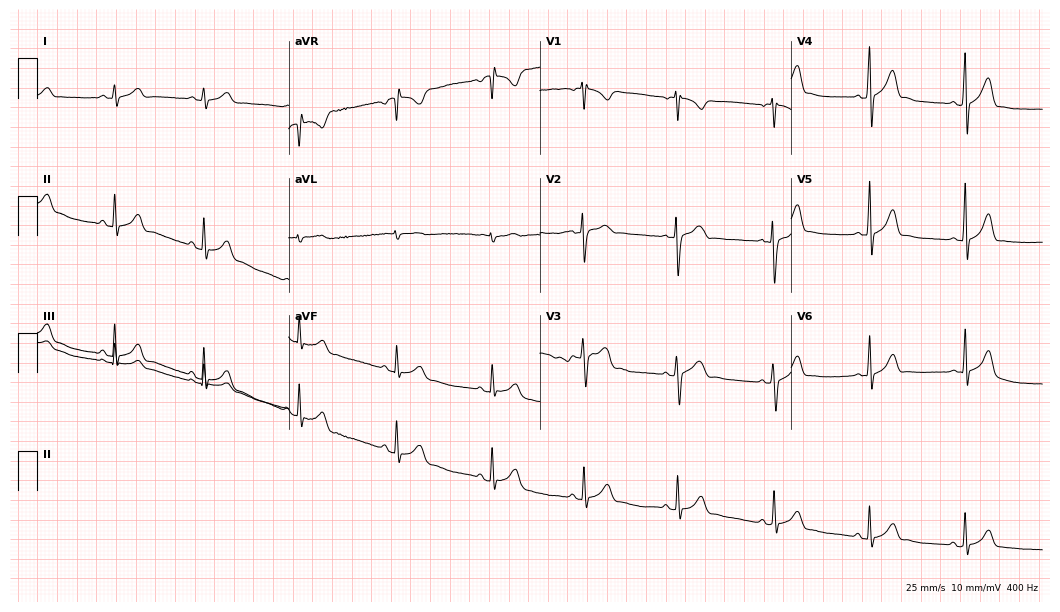
12-lead ECG from a 20-year-old male (10.2-second recording at 400 Hz). Recorded interpretation: within normal limits.